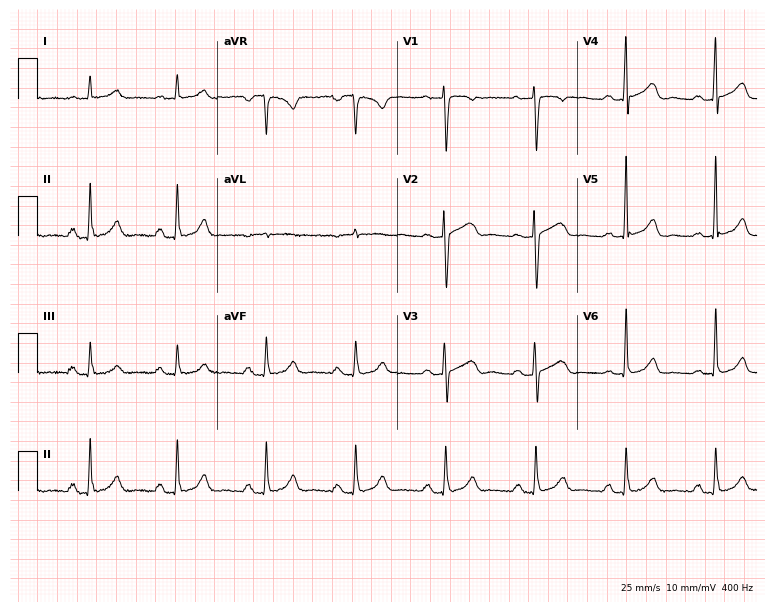
ECG — a female, 67 years old. Findings include first-degree AV block.